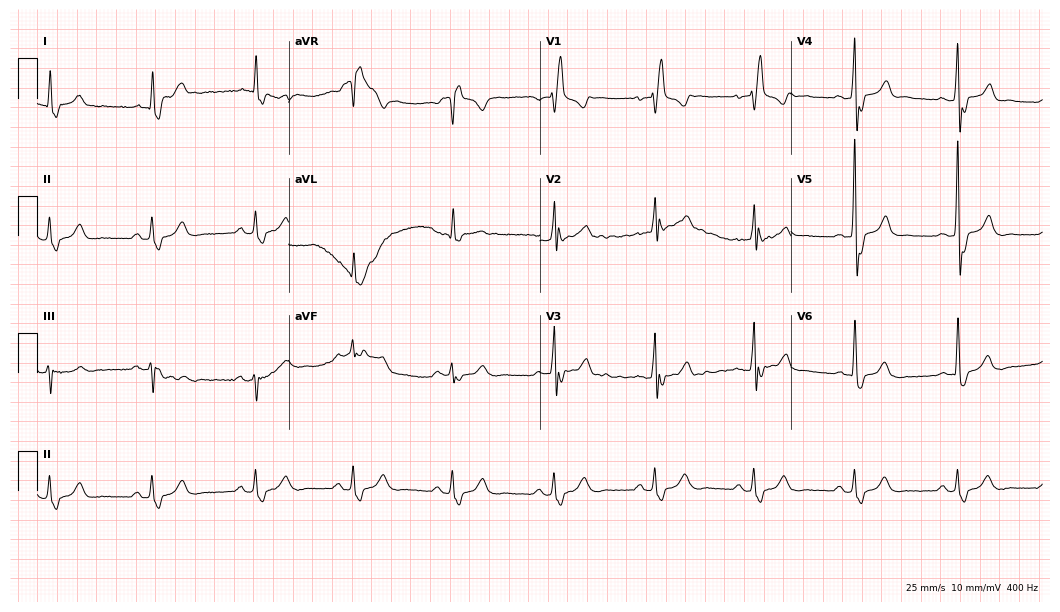
Standard 12-lead ECG recorded from an 82-year-old female patient. The tracing shows right bundle branch block (RBBB).